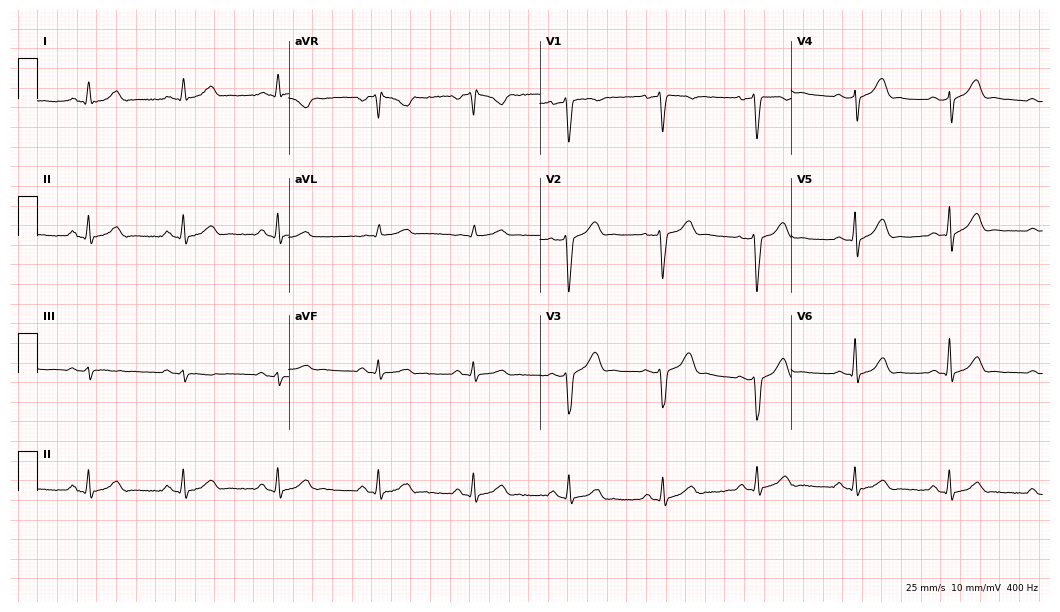
ECG — a 38-year-old man. Screened for six findings — first-degree AV block, right bundle branch block, left bundle branch block, sinus bradycardia, atrial fibrillation, sinus tachycardia — none is recorded.